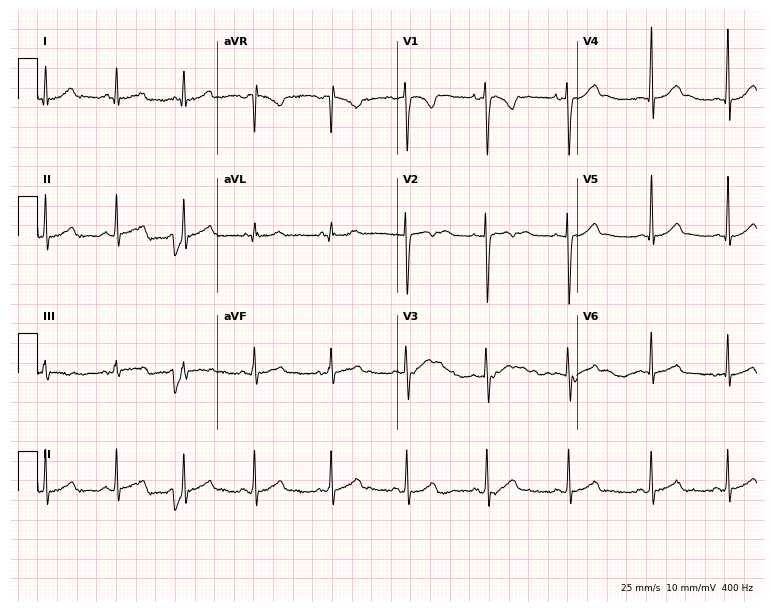
12-lead ECG from a male patient, 17 years old (7.3-second recording at 400 Hz). Recorded interpretation: within normal limits.